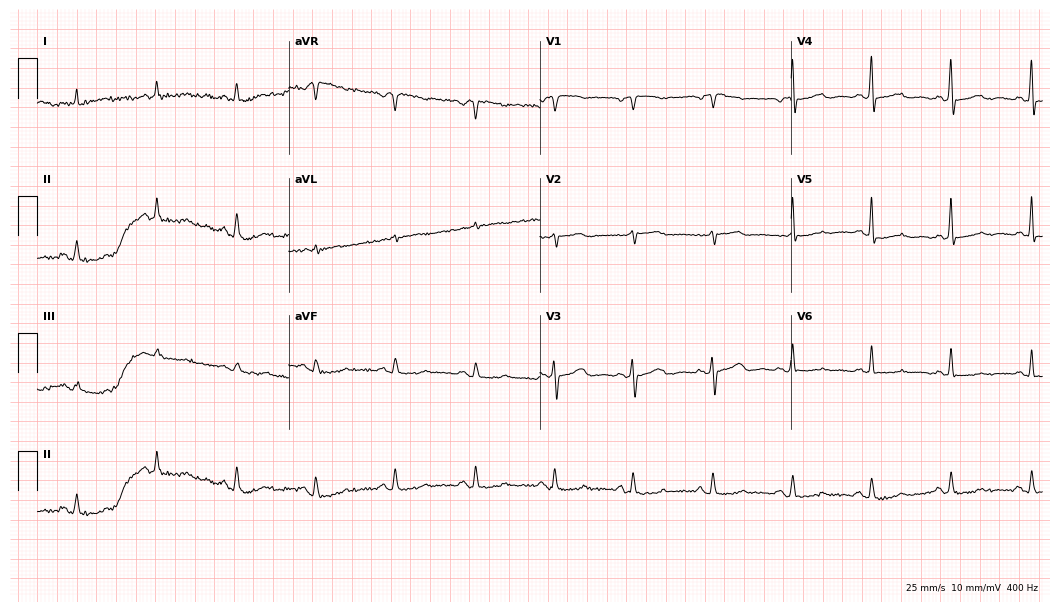
Electrocardiogram, a male patient, 76 years old. Of the six screened findings (first-degree AV block, right bundle branch block, left bundle branch block, sinus bradycardia, atrial fibrillation, sinus tachycardia), none is recorded.